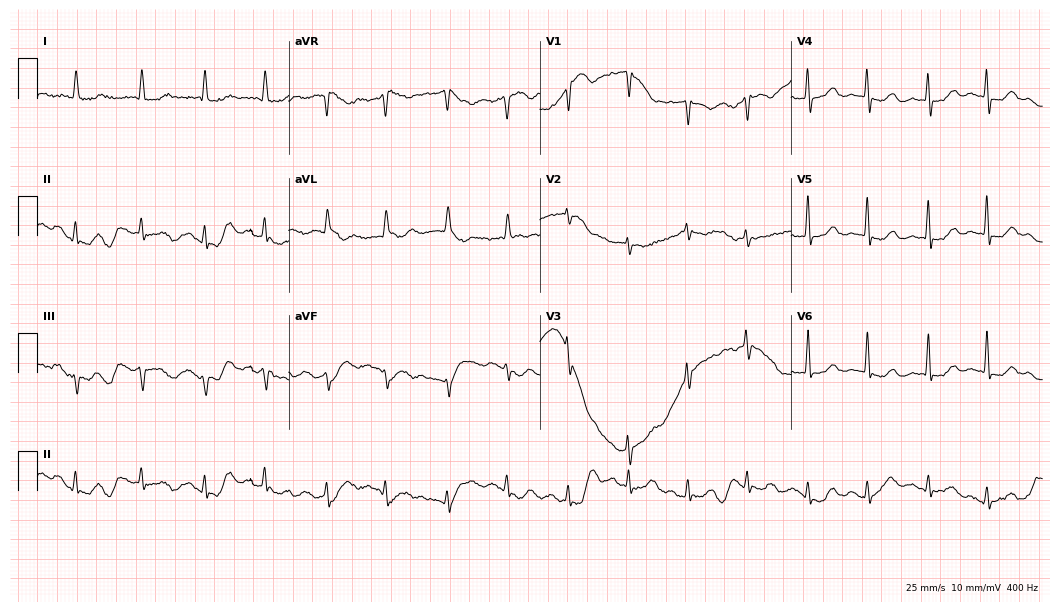
12-lead ECG from a female patient, 85 years old. Screened for six findings — first-degree AV block, right bundle branch block, left bundle branch block, sinus bradycardia, atrial fibrillation, sinus tachycardia — none is recorded. Only these six findings were labelled.